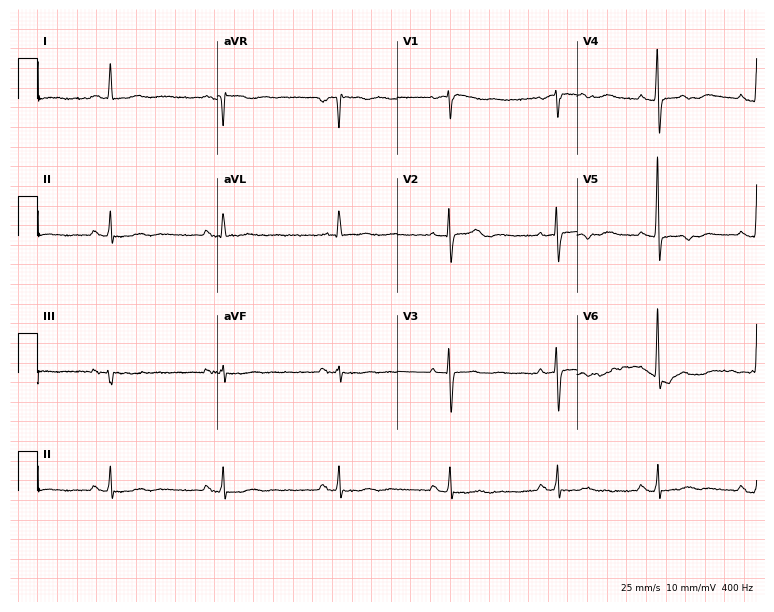
Electrocardiogram (7.3-second recording at 400 Hz), an 82-year-old female. Of the six screened findings (first-degree AV block, right bundle branch block, left bundle branch block, sinus bradycardia, atrial fibrillation, sinus tachycardia), none is recorded. Only these six findings were labelled.